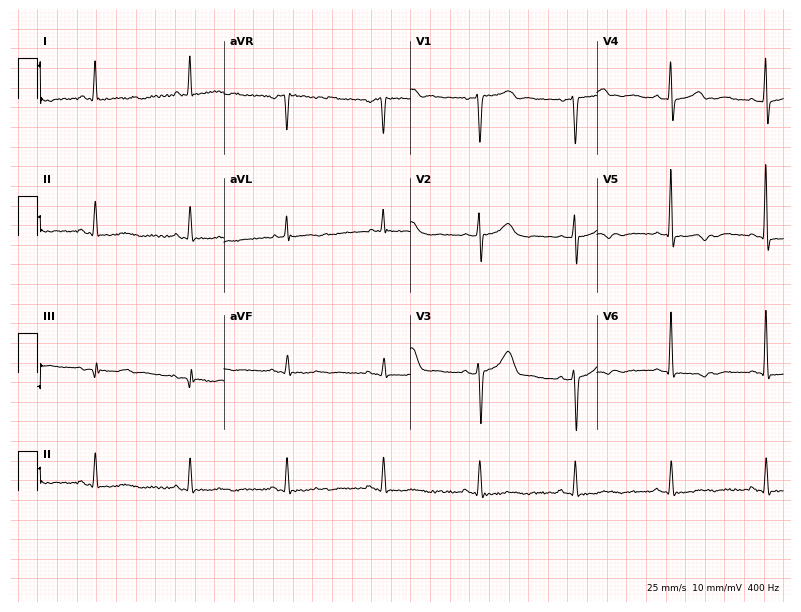
12-lead ECG from a female patient, 60 years old. Screened for six findings — first-degree AV block, right bundle branch block, left bundle branch block, sinus bradycardia, atrial fibrillation, sinus tachycardia — none is recorded.